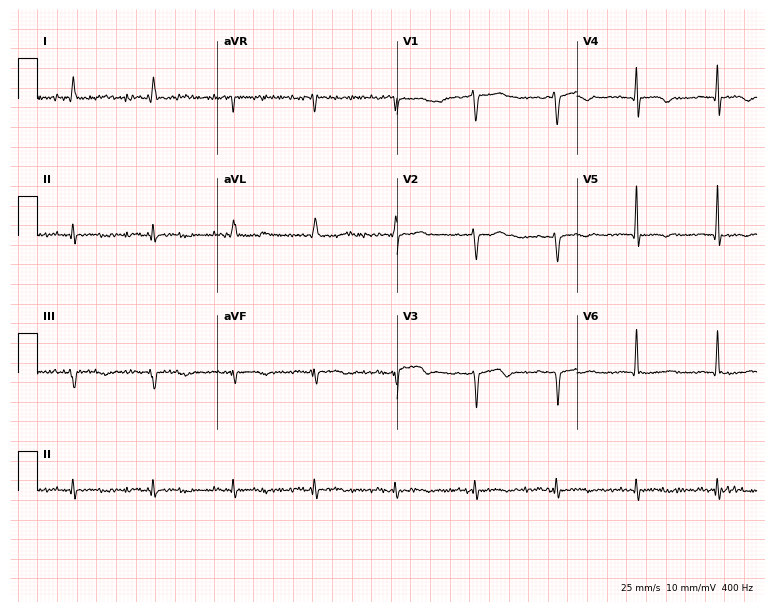
12-lead ECG from an 80-year-old male patient (7.3-second recording at 400 Hz). No first-degree AV block, right bundle branch block, left bundle branch block, sinus bradycardia, atrial fibrillation or sinus tachycardia recorded for this tracing. Only these six findings were labelled.